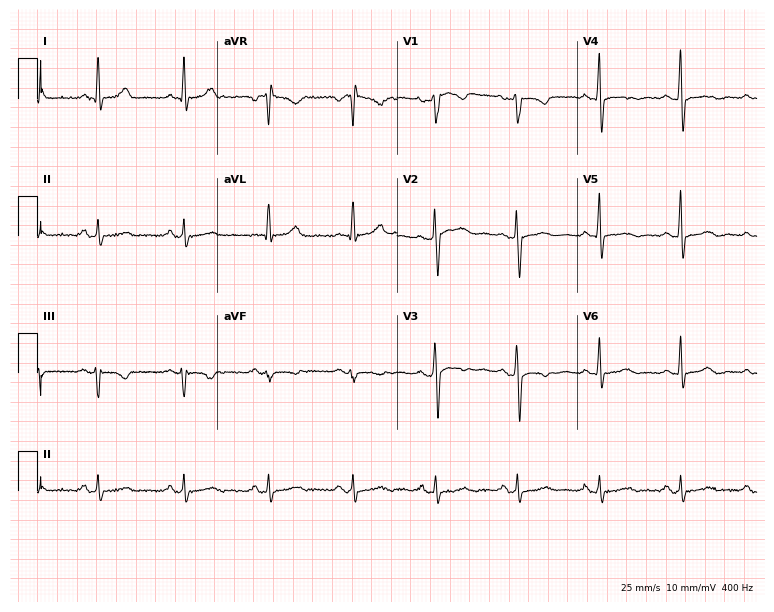
Standard 12-lead ECG recorded from a man, 53 years old (7.3-second recording at 400 Hz). Read as a normal ECG.